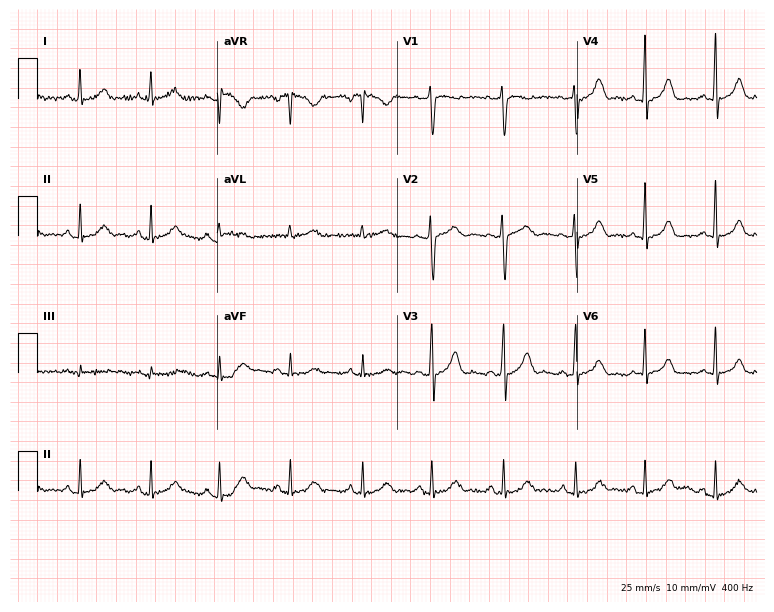
ECG (7.3-second recording at 400 Hz) — a 43-year-old female. Screened for six findings — first-degree AV block, right bundle branch block, left bundle branch block, sinus bradycardia, atrial fibrillation, sinus tachycardia — none is recorded.